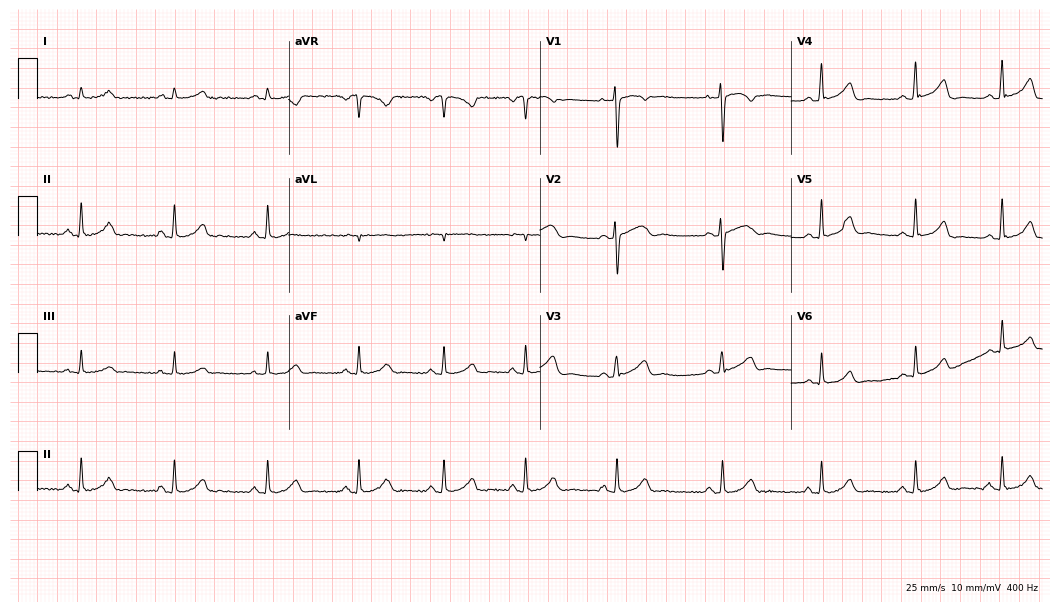
Resting 12-lead electrocardiogram (10.2-second recording at 400 Hz). Patient: a 41-year-old female. Read as a normal ECG.